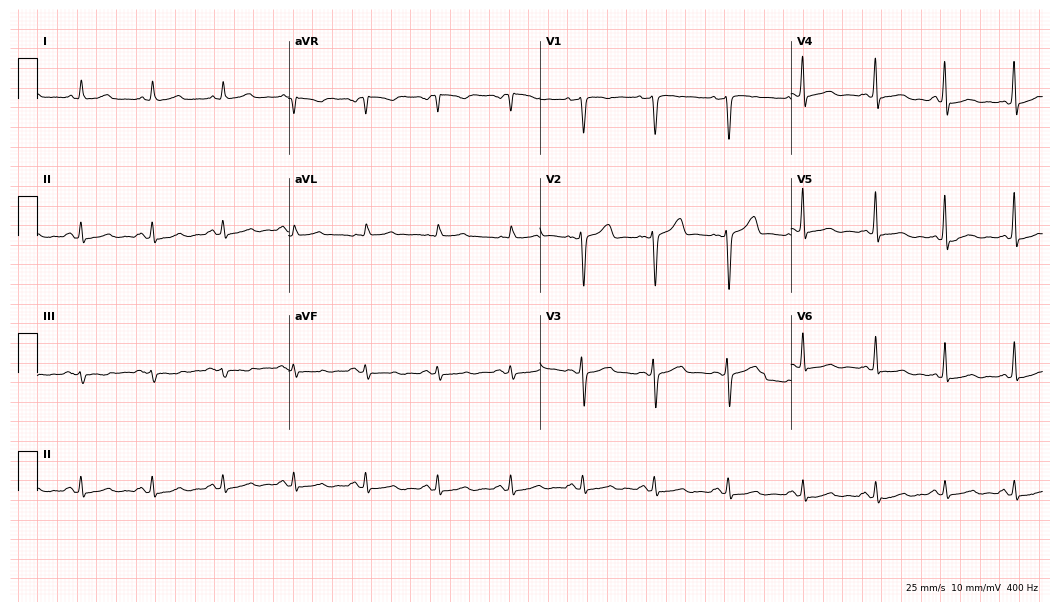
12-lead ECG from a 48-year-old female (10.2-second recording at 400 Hz). Recorded interpretation: within normal limits.